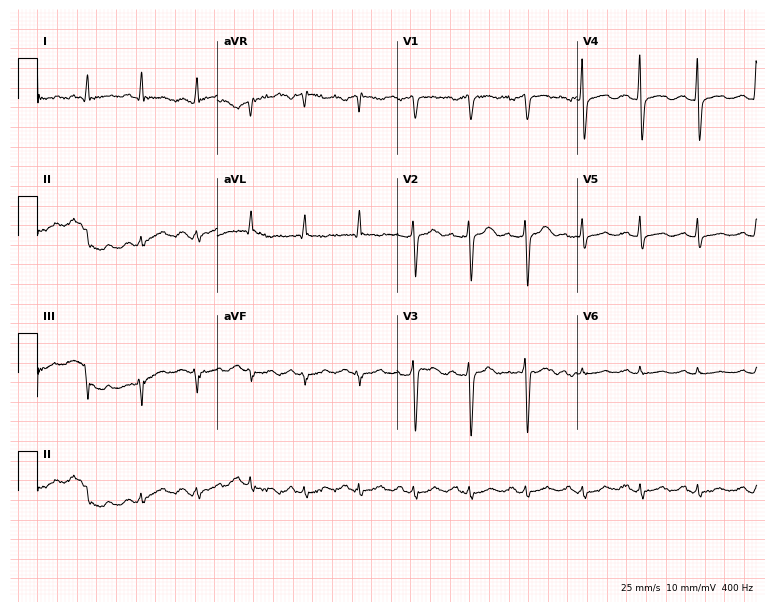
Resting 12-lead electrocardiogram (7.3-second recording at 400 Hz). Patient: a 46-year-old male. The tracing shows sinus tachycardia (a sinus rate of 100 beats per minute or more).